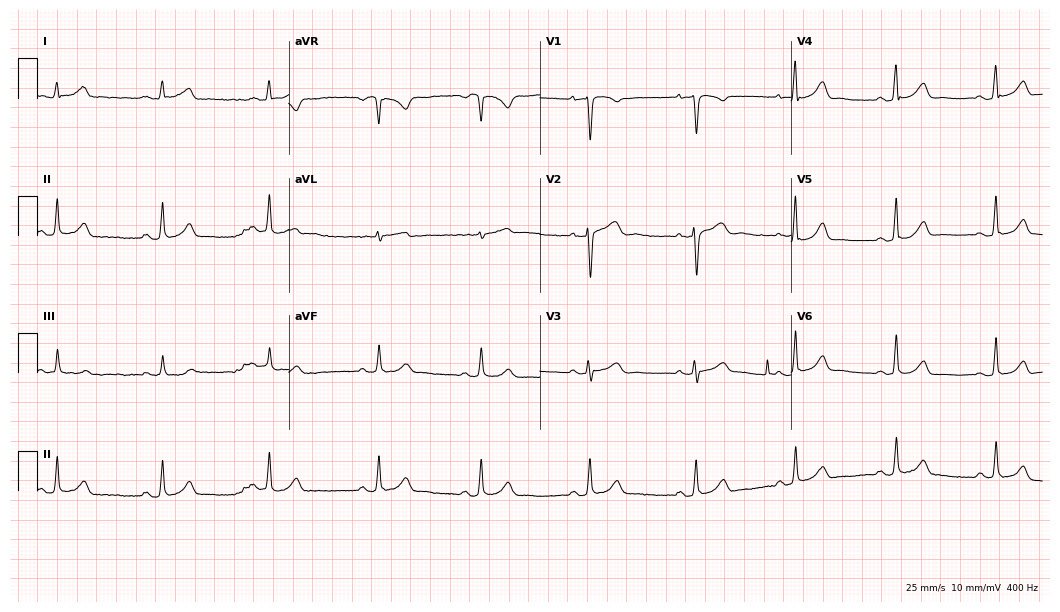
Electrocardiogram (10.2-second recording at 400 Hz), a female, 28 years old. Overall reading on record: normal ECG.